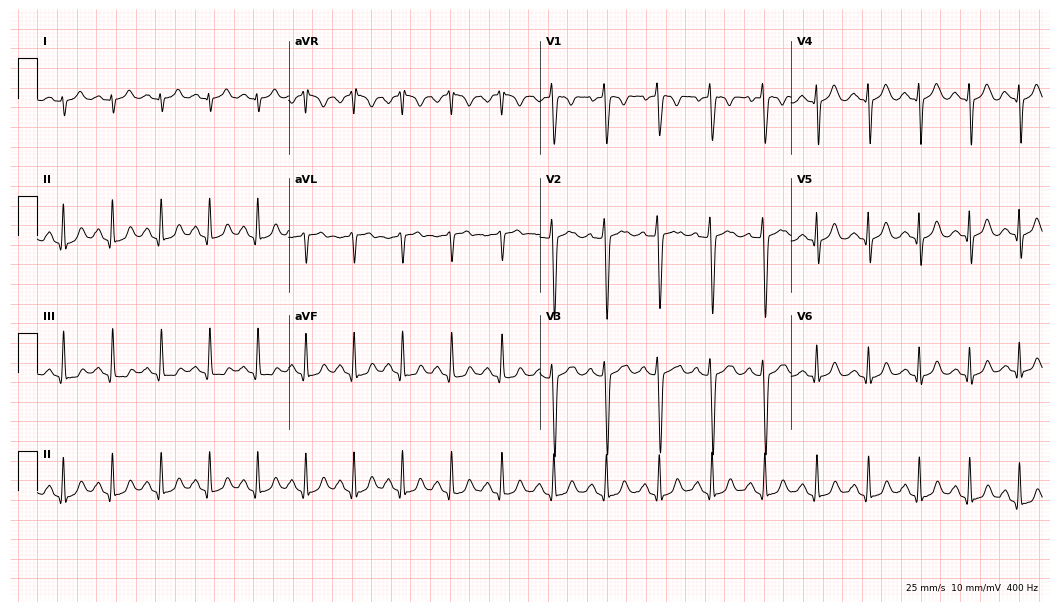
Standard 12-lead ECG recorded from a female, 32 years old. The tracing shows sinus tachycardia (a sinus rate of 100 beats per minute or more).